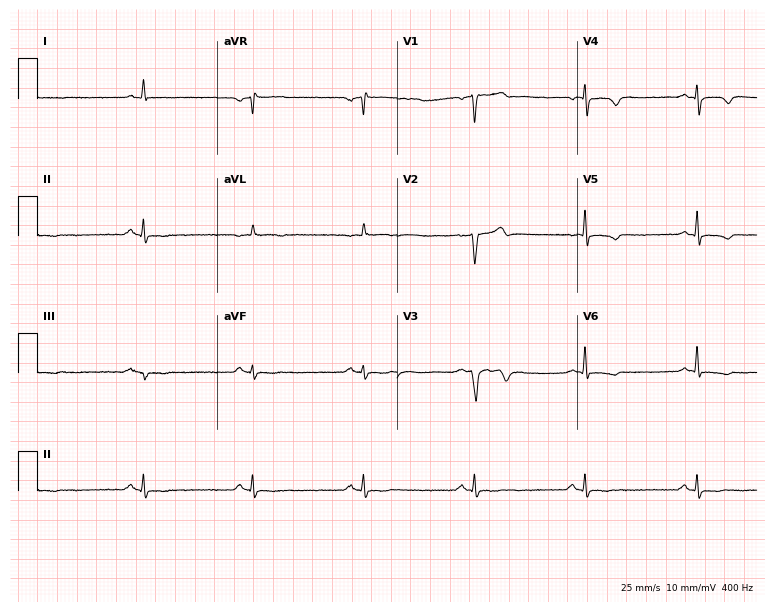
Resting 12-lead electrocardiogram. Patient: a 63-year-old man. None of these six findings is recorded: first-degree AV block, right bundle branch block, left bundle branch block, sinus bradycardia, atrial fibrillation, sinus tachycardia. Findings outside these six are not listed.